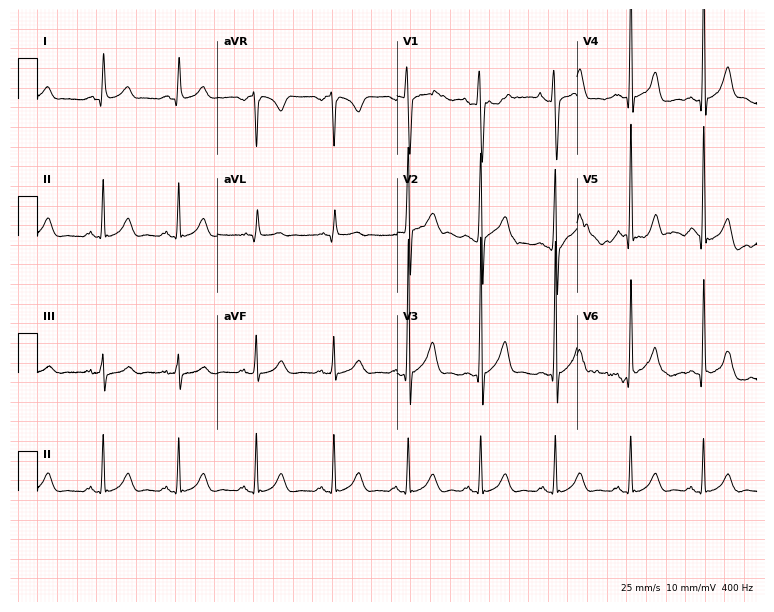
ECG — a male patient, 35 years old. Labelled as a normal ECG.